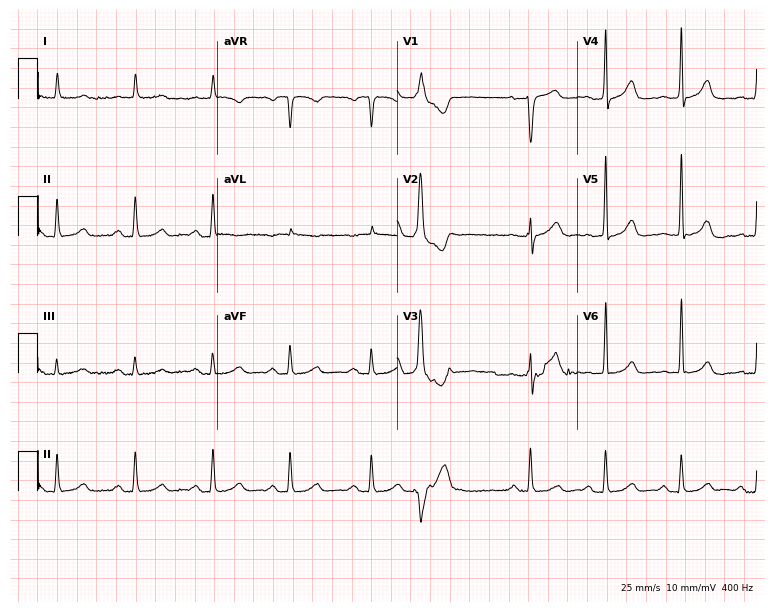
Resting 12-lead electrocardiogram. Patient: a 75-year-old male. None of these six findings is recorded: first-degree AV block, right bundle branch block, left bundle branch block, sinus bradycardia, atrial fibrillation, sinus tachycardia. Findings outside these six are not listed.